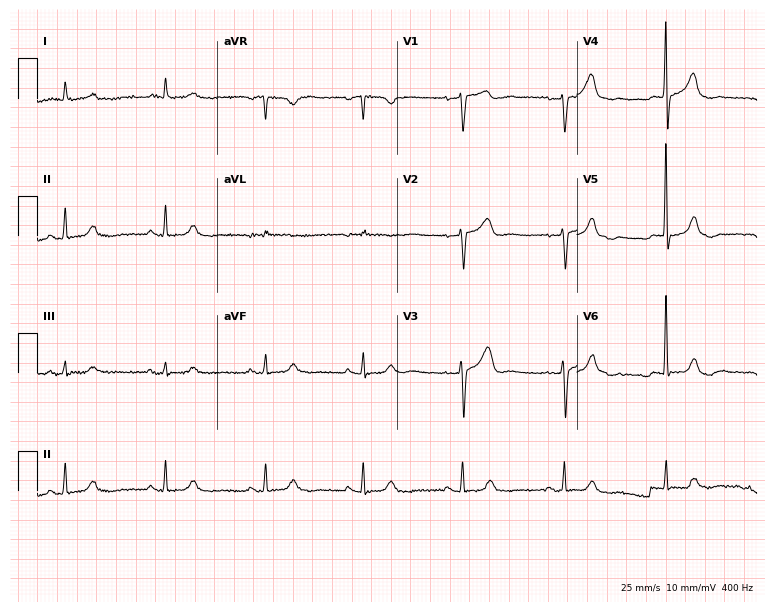
12-lead ECG from a man, 81 years old (7.3-second recording at 400 Hz). No first-degree AV block, right bundle branch block (RBBB), left bundle branch block (LBBB), sinus bradycardia, atrial fibrillation (AF) or sinus tachycardia recorded for this tracing. Findings outside these six are not listed.